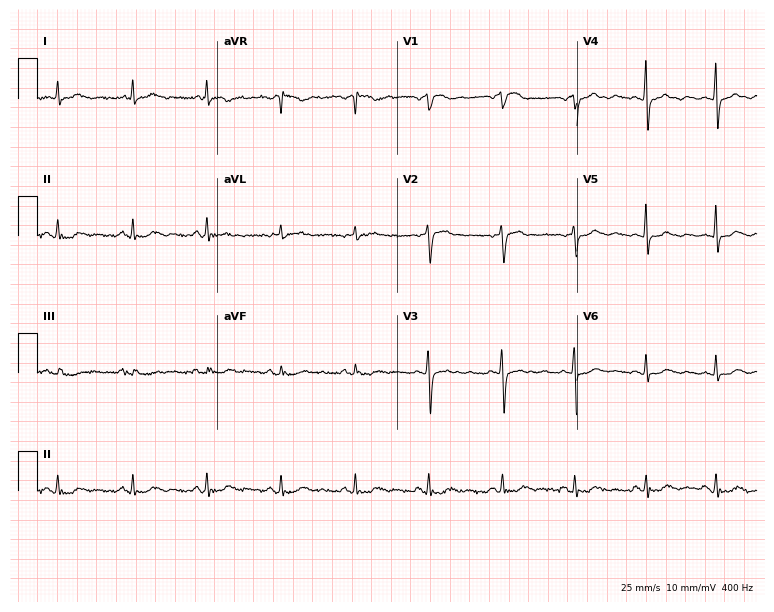
ECG (7.3-second recording at 400 Hz) — a 62-year-old female patient. Screened for six findings — first-degree AV block, right bundle branch block, left bundle branch block, sinus bradycardia, atrial fibrillation, sinus tachycardia — none is recorded.